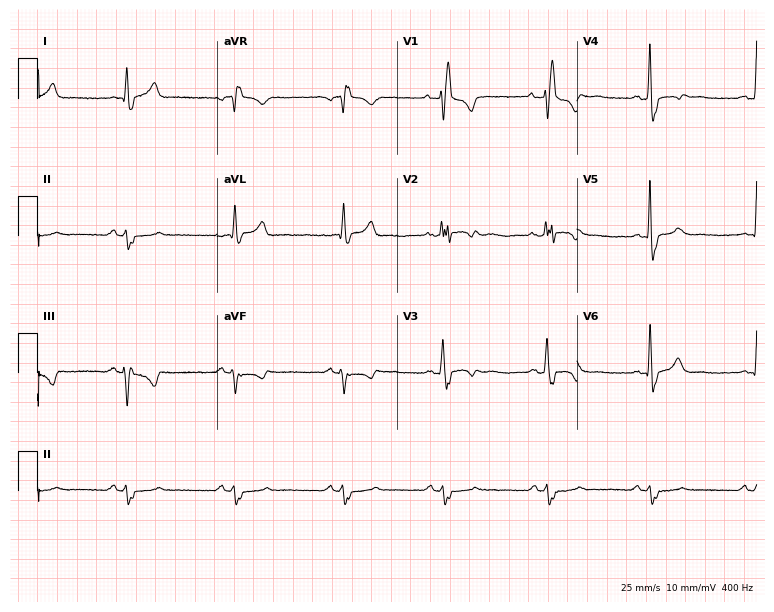
ECG (7.3-second recording at 400 Hz) — a 42-year-old male. Findings include right bundle branch block.